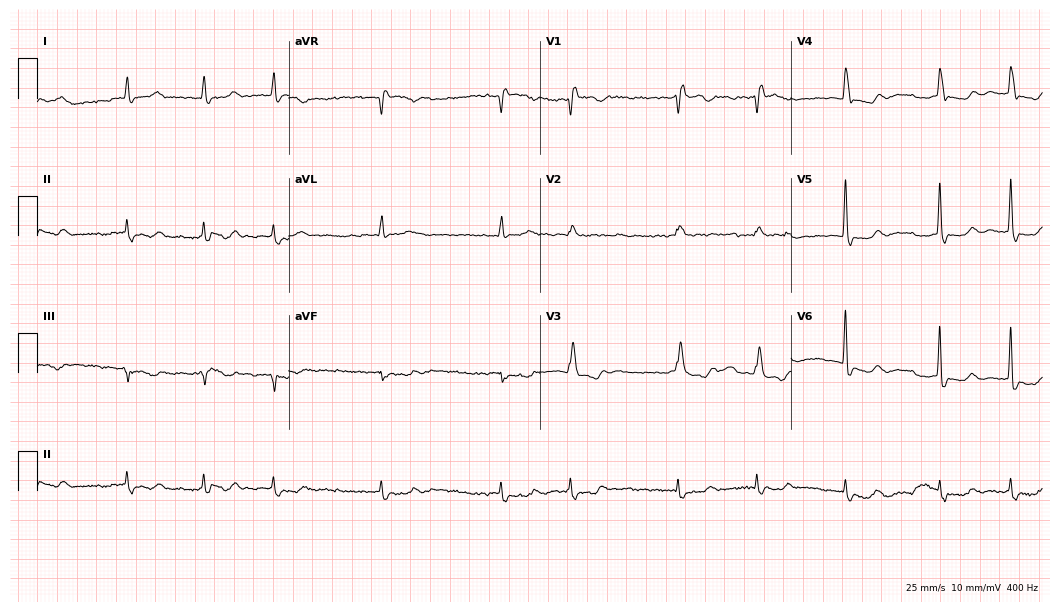
Electrocardiogram, a woman, 81 years old. Interpretation includes atrial fibrillation.